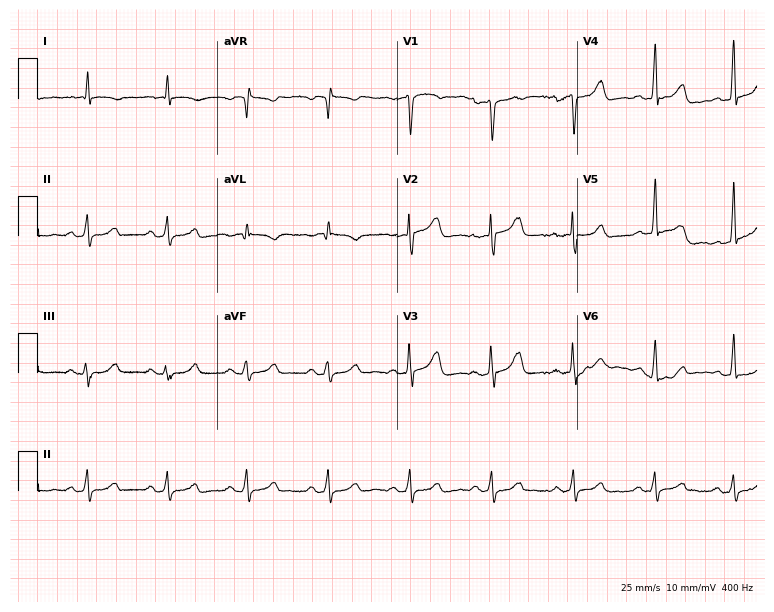
Electrocardiogram, a woman, 60 years old. Of the six screened findings (first-degree AV block, right bundle branch block (RBBB), left bundle branch block (LBBB), sinus bradycardia, atrial fibrillation (AF), sinus tachycardia), none is recorded.